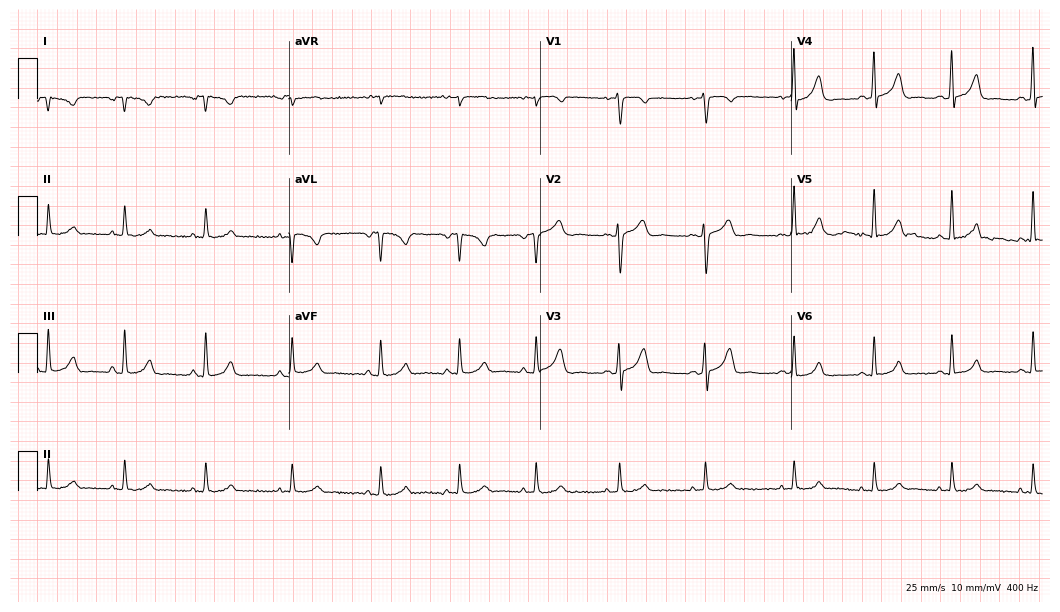
Electrocardiogram (10.2-second recording at 400 Hz), a 24-year-old female patient. Of the six screened findings (first-degree AV block, right bundle branch block (RBBB), left bundle branch block (LBBB), sinus bradycardia, atrial fibrillation (AF), sinus tachycardia), none is recorded. Findings outside these six are not listed.